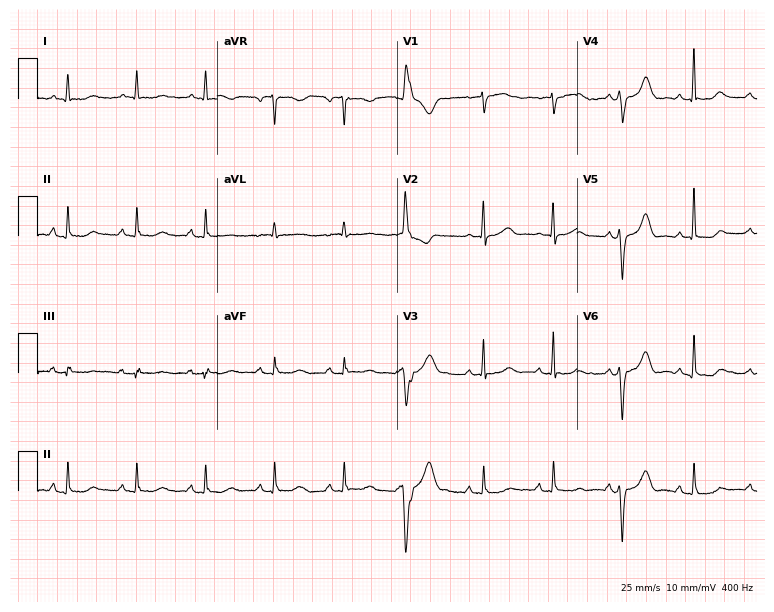
Resting 12-lead electrocardiogram. Patient: a 62-year-old woman. Read as a normal ECG.